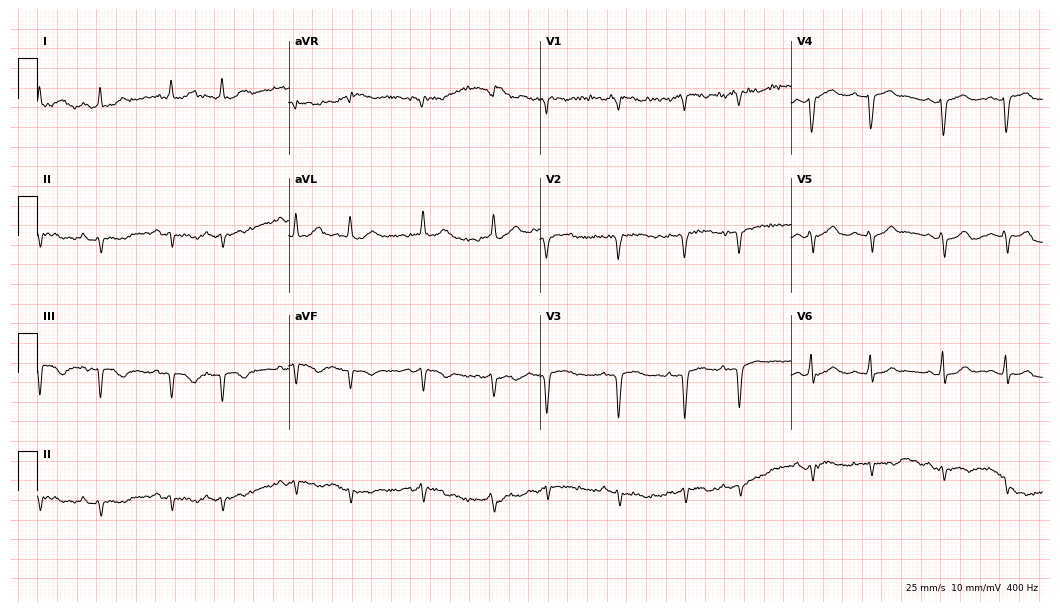
12-lead ECG from a man, 77 years old. Screened for six findings — first-degree AV block, right bundle branch block, left bundle branch block, sinus bradycardia, atrial fibrillation, sinus tachycardia — none is recorded. Other findings, if any, are not listed.